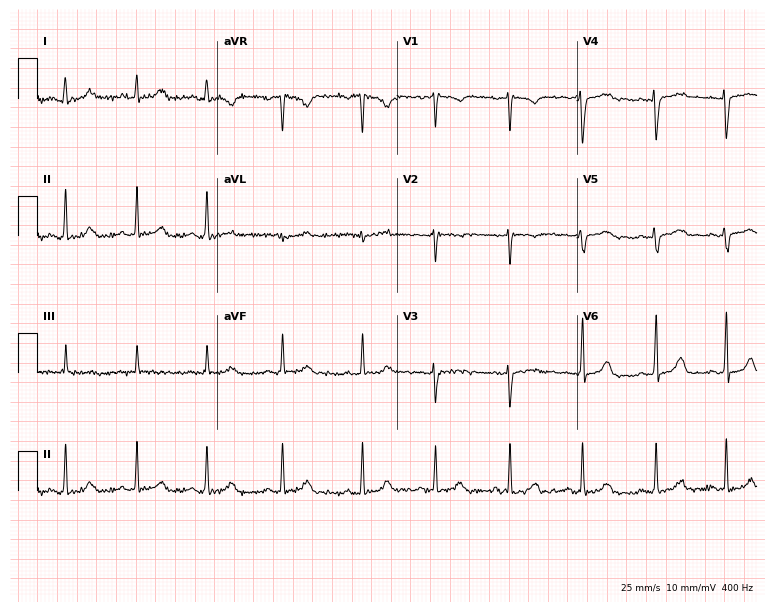
12-lead ECG from a 26-year-old female. No first-degree AV block, right bundle branch block, left bundle branch block, sinus bradycardia, atrial fibrillation or sinus tachycardia recorded for this tracing.